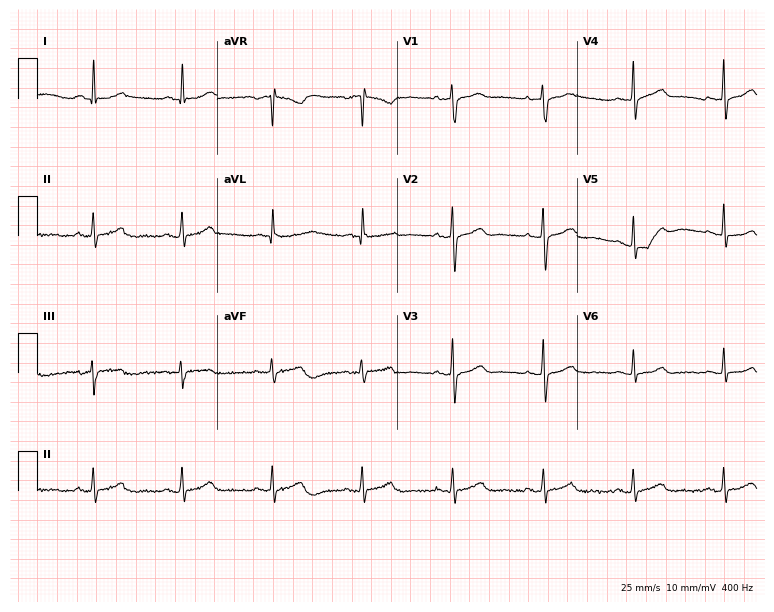
ECG — a woman, 77 years old. Labelled as a normal ECG.